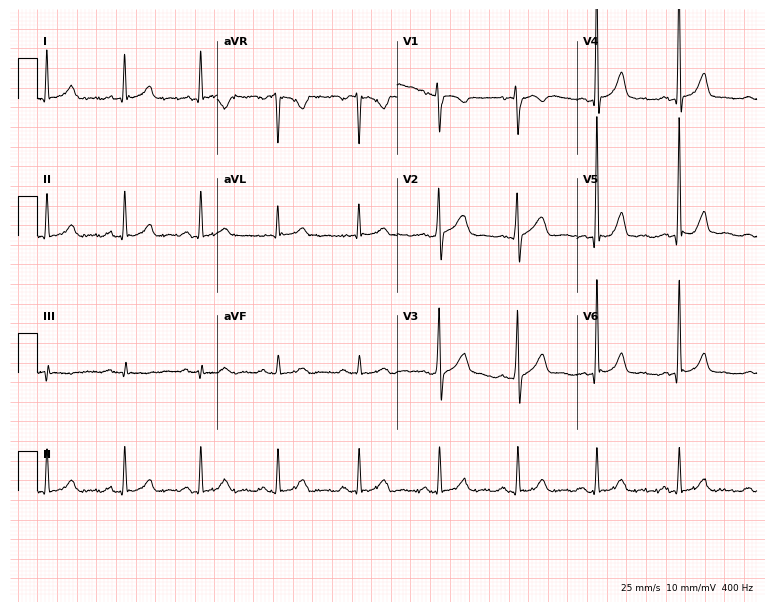
12-lead ECG from a 42-year-old male patient. Labelled as a normal ECG.